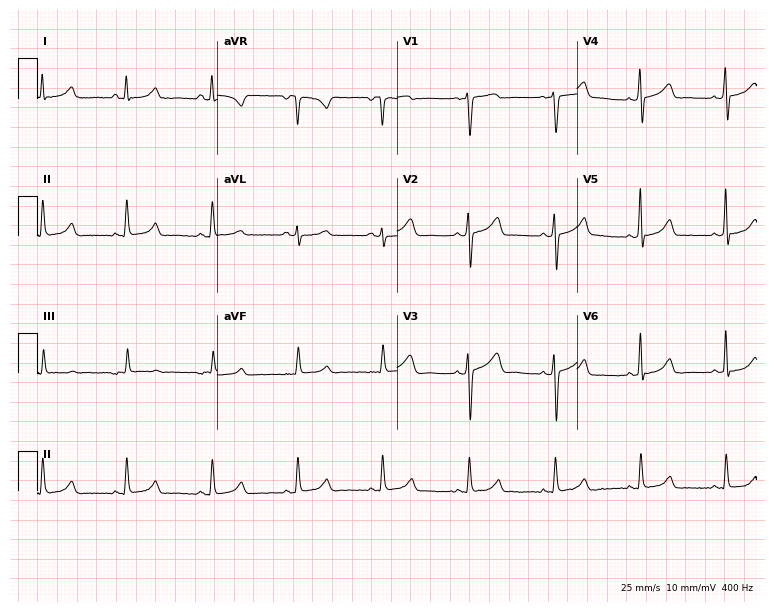
12-lead ECG (7.3-second recording at 400 Hz) from a 43-year-old female patient. Screened for six findings — first-degree AV block, right bundle branch block, left bundle branch block, sinus bradycardia, atrial fibrillation, sinus tachycardia — none is recorded. Other findings, if any, are not listed.